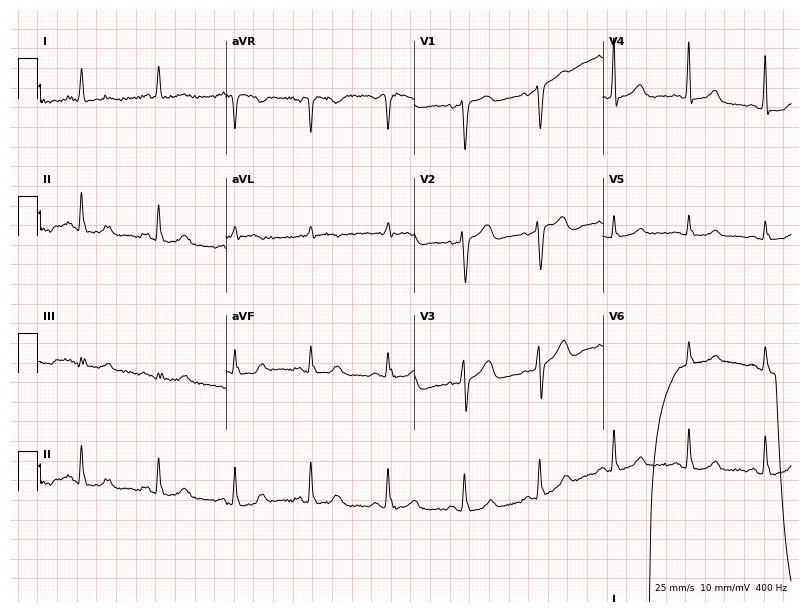
Electrocardiogram, an 83-year-old female. Of the six screened findings (first-degree AV block, right bundle branch block (RBBB), left bundle branch block (LBBB), sinus bradycardia, atrial fibrillation (AF), sinus tachycardia), none is recorded. Other findings, if any, are not listed.